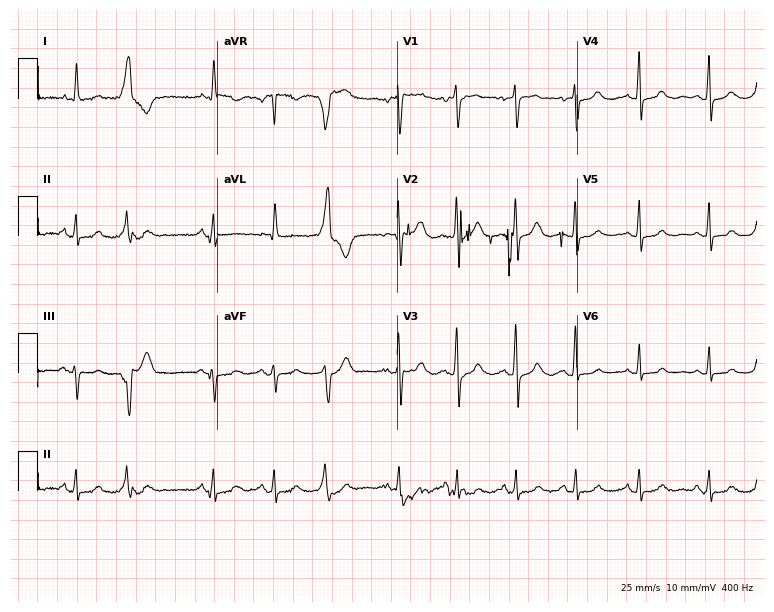
Electrocardiogram, a 69-year-old female patient. Overall reading on record: normal ECG.